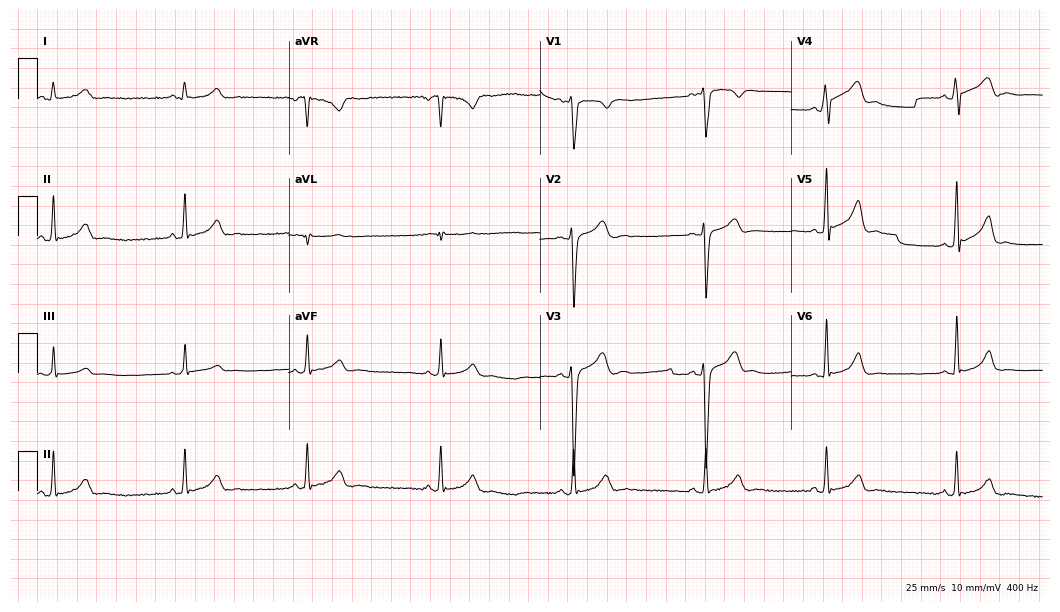
12-lead ECG from a 24-year-old male patient. No first-degree AV block, right bundle branch block, left bundle branch block, sinus bradycardia, atrial fibrillation or sinus tachycardia recorded for this tracing. Findings outside these six are not listed.